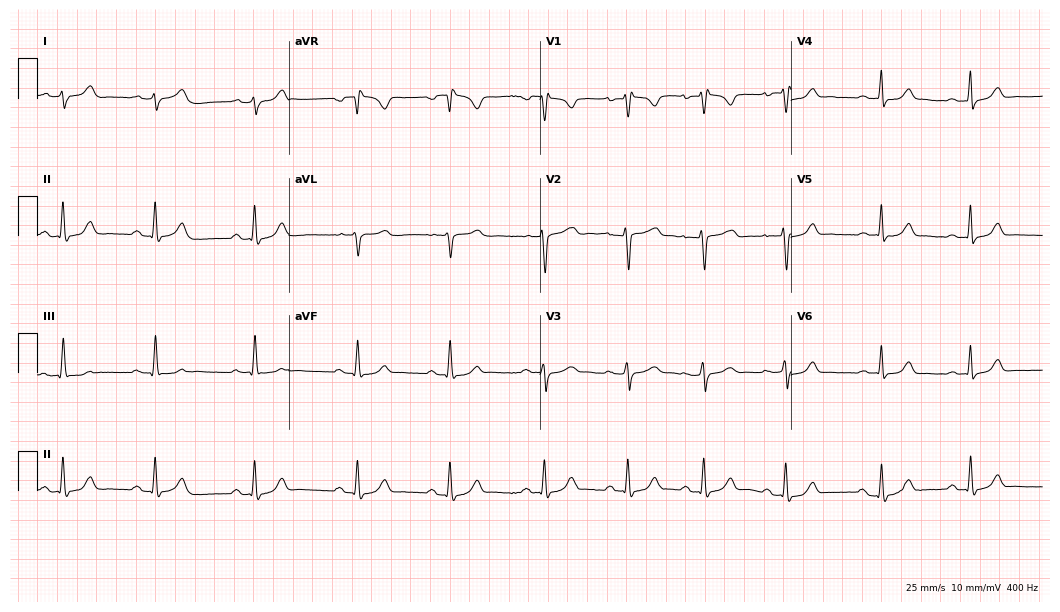
Electrocardiogram, a 27-year-old female. Of the six screened findings (first-degree AV block, right bundle branch block, left bundle branch block, sinus bradycardia, atrial fibrillation, sinus tachycardia), none is recorded.